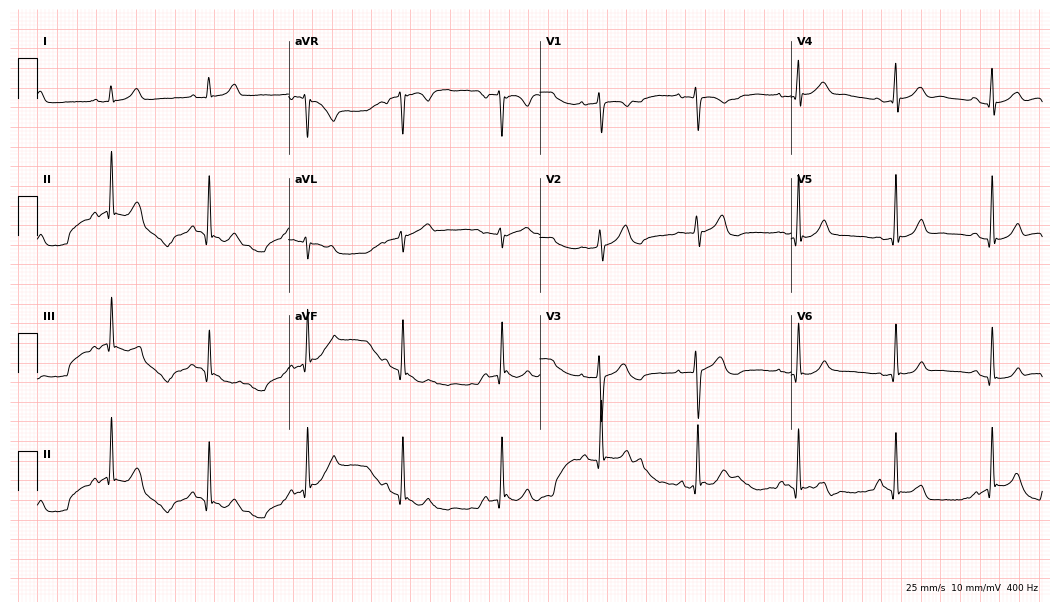
Electrocardiogram (10.2-second recording at 400 Hz), a female patient, 49 years old. Overall reading on record: normal ECG.